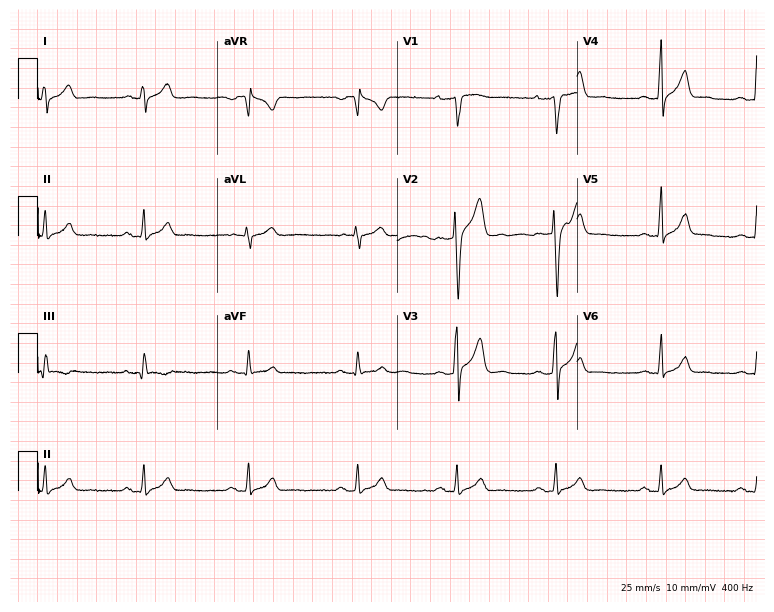
12-lead ECG from a male, 25 years old (7.3-second recording at 400 Hz). Recorded interpretation: within normal limits.